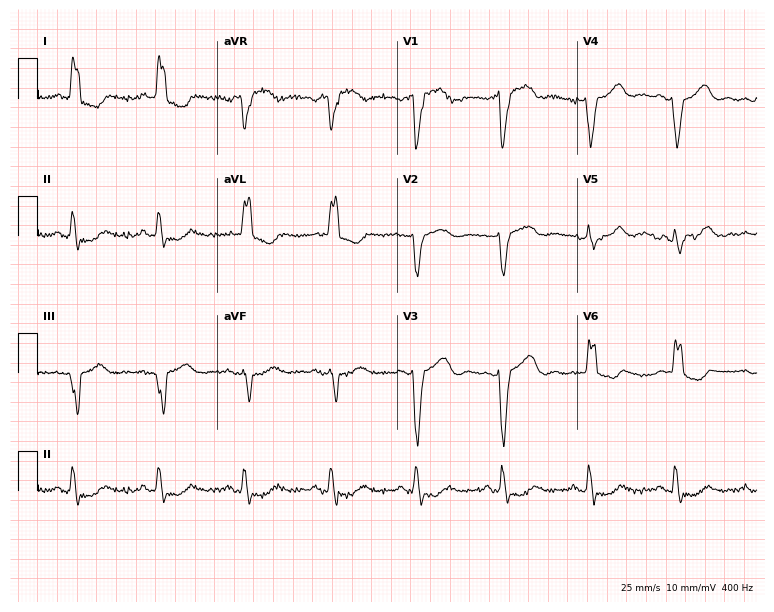
Resting 12-lead electrocardiogram (7.3-second recording at 400 Hz). Patient: a woman, 70 years old. None of these six findings is recorded: first-degree AV block, right bundle branch block, left bundle branch block, sinus bradycardia, atrial fibrillation, sinus tachycardia.